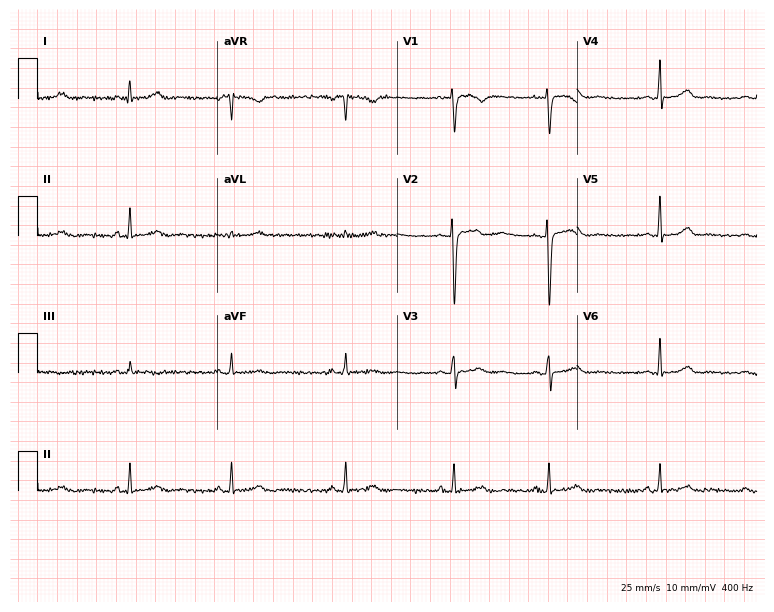
ECG (7.3-second recording at 400 Hz) — a 27-year-old female. Labelled as a normal ECG.